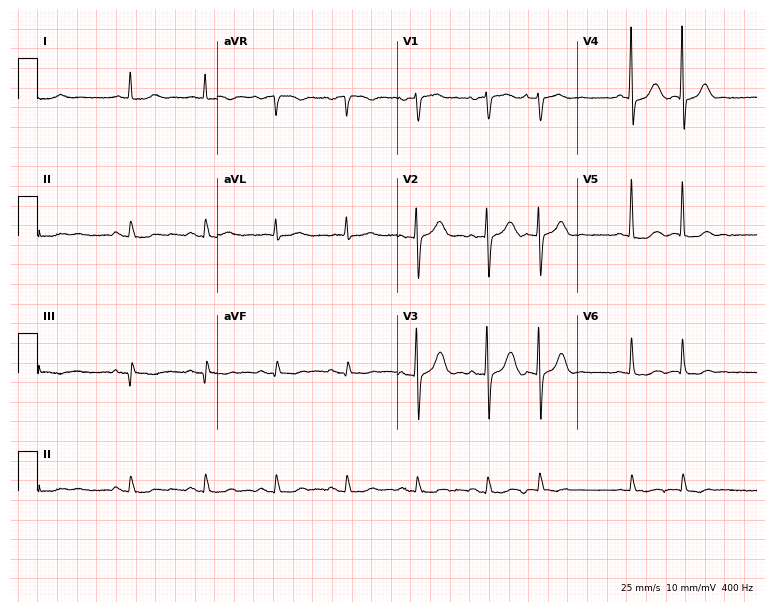
12-lead ECG (7.3-second recording at 400 Hz) from a 76-year-old male. Screened for six findings — first-degree AV block, right bundle branch block, left bundle branch block, sinus bradycardia, atrial fibrillation, sinus tachycardia — none is recorded.